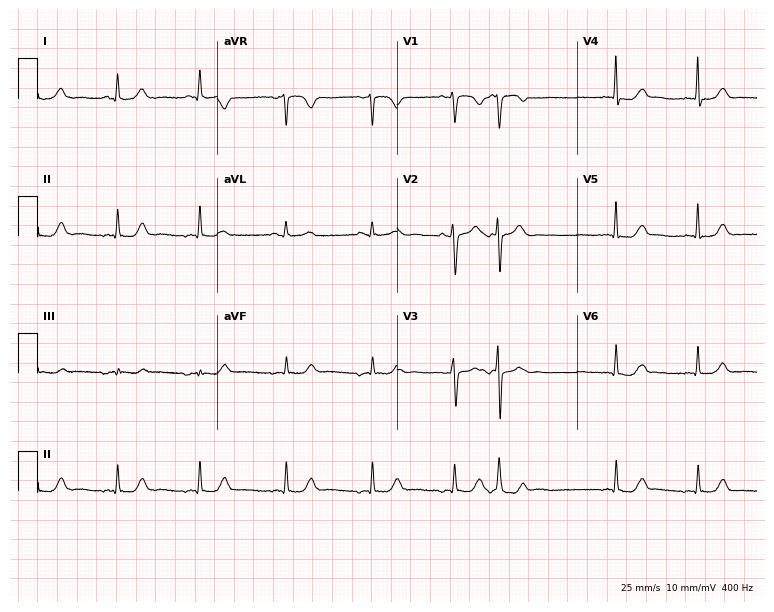
Standard 12-lead ECG recorded from a 47-year-old female patient. None of these six findings is recorded: first-degree AV block, right bundle branch block, left bundle branch block, sinus bradycardia, atrial fibrillation, sinus tachycardia.